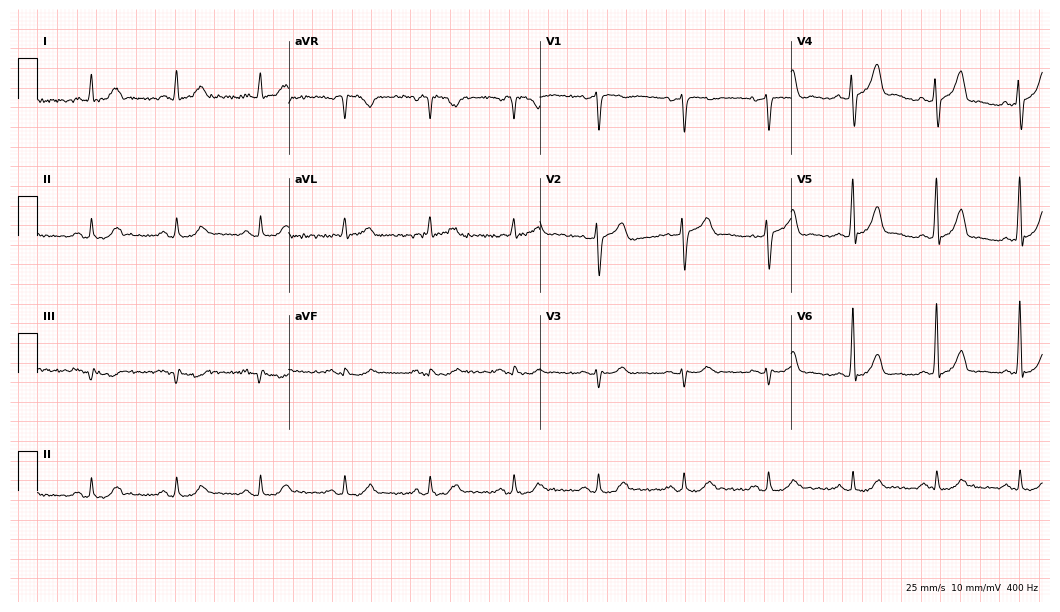
Standard 12-lead ECG recorded from a male patient, 52 years old (10.2-second recording at 400 Hz). None of these six findings is recorded: first-degree AV block, right bundle branch block (RBBB), left bundle branch block (LBBB), sinus bradycardia, atrial fibrillation (AF), sinus tachycardia.